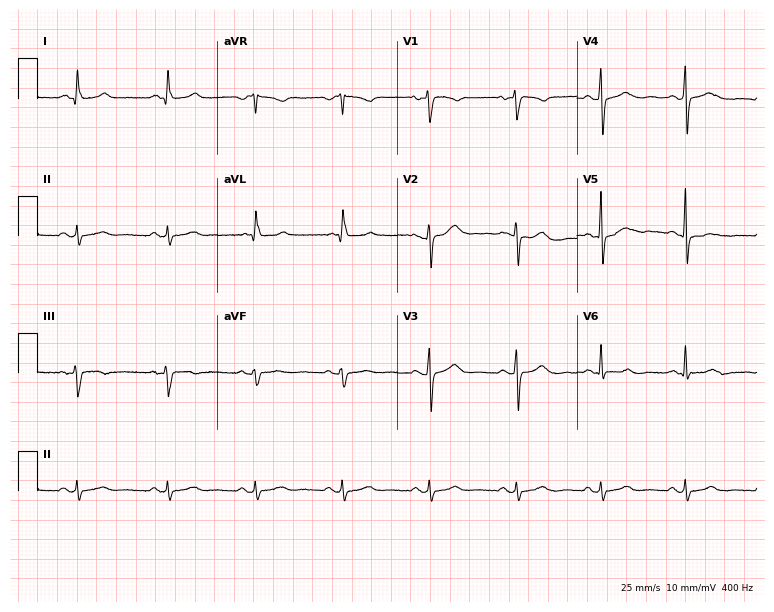
ECG — a man, 53 years old. Labelled as a normal ECG.